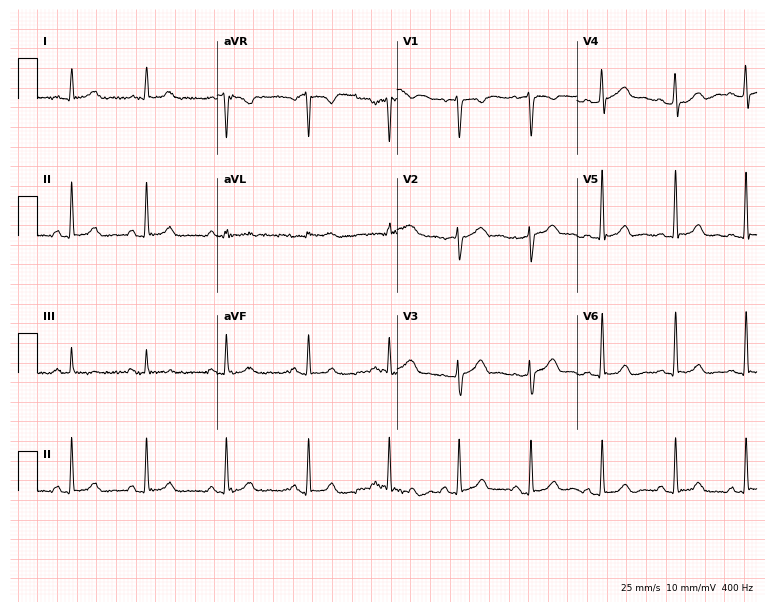
Standard 12-lead ECG recorded from a 23-year-old woman (7.3-second recording at 400 Hz). None of these six findings is recorded: first-degree AV block, right bundle branch block, left bundle branch block, sinus bradycardia, atrial fibrillation, sinus tachycardia.